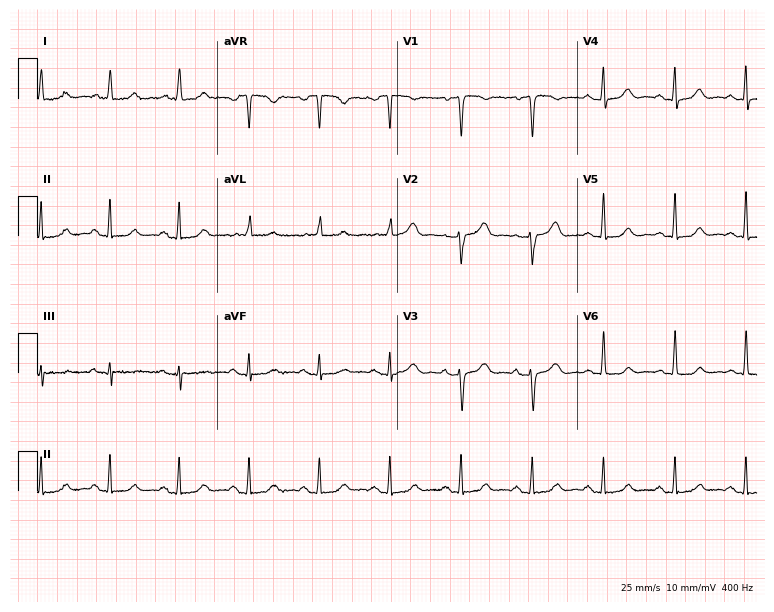
Electrocardiogram (7.3-second recording at 400 Hz), a 61-year-old female. Overall reading on record: normal ECG.